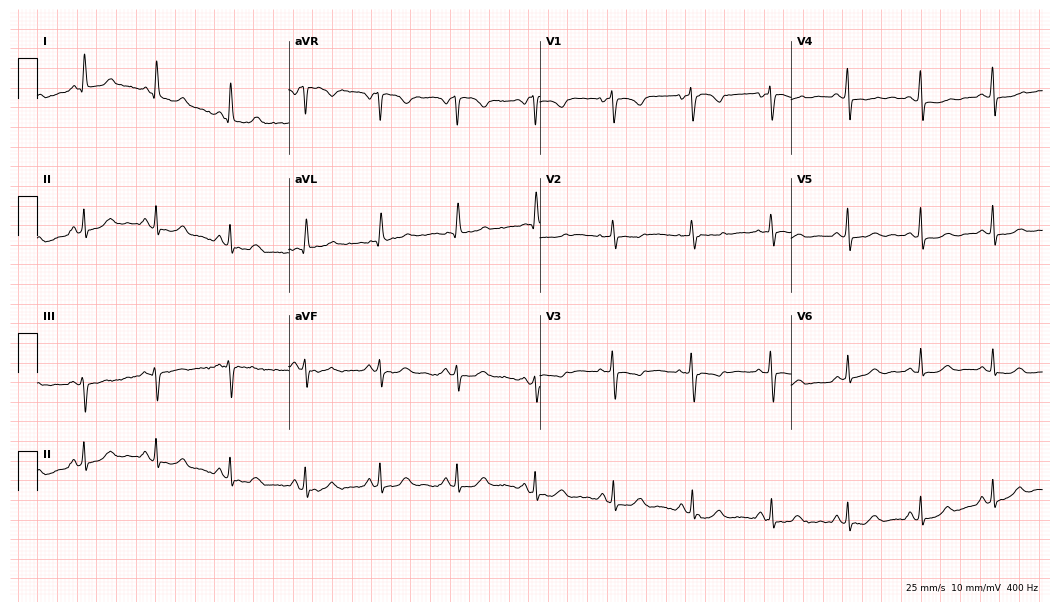
ECG — a 45-year-old female. Screened for six findings — first-degree AV block, right bundle branch block (RBBB), left bundle branch block (LBBB), sinus bradycardia, atrial fibrillation (AF), sinus tachycardia — none is recorded.